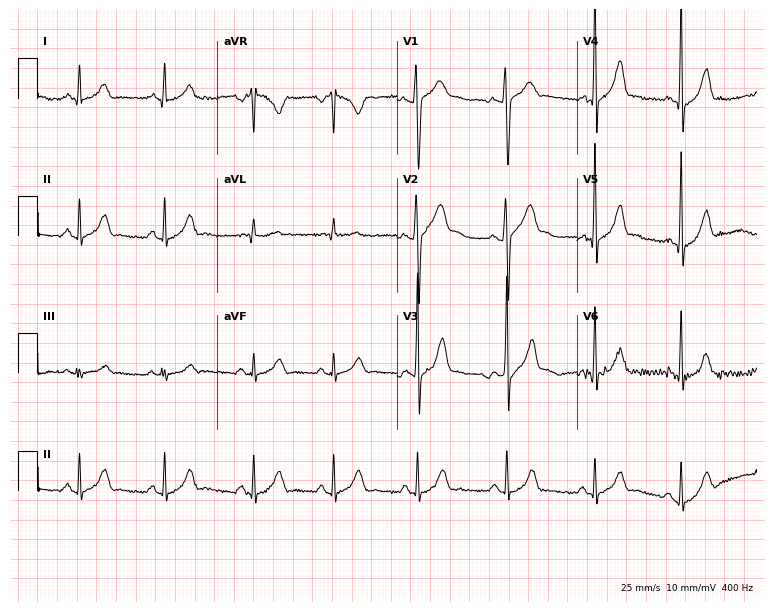
12-lead ECG from a man, 23 years old (7.3-second recording at 400 Hz). Recorded interpretation: within normal limits.